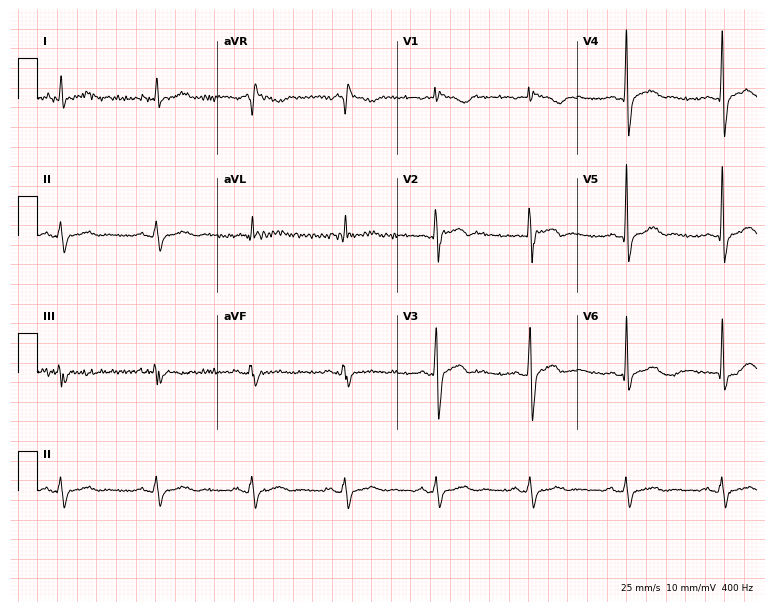
Electrocardiogram, a 60-year-old male patient. Of the six screened findings (first-degree AV block, right bundle branch block (RBBB), left bundle branch block (LBBB), sinus bradycardia, atrial fibrillation (AF), sinus tachycardia), none is recorded. Other findings, if any, are not listed.